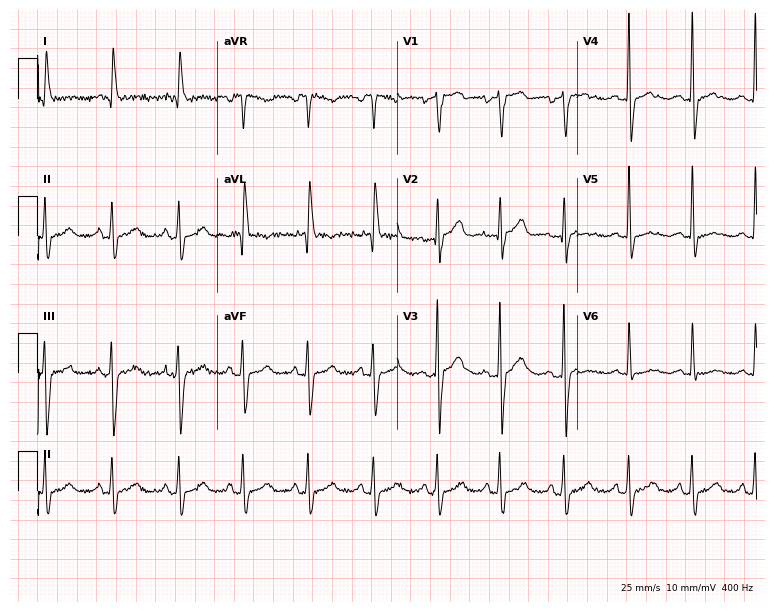
Standard 12-lead ECG recorded from a female, 77 years old. None of these six findings is recorded: first-degree AV block, right bundle branch block (RBBB), left bundle branch block (LBBB), sinus bradycardia, atrial fibrillation (AF), sinus tachycardia.